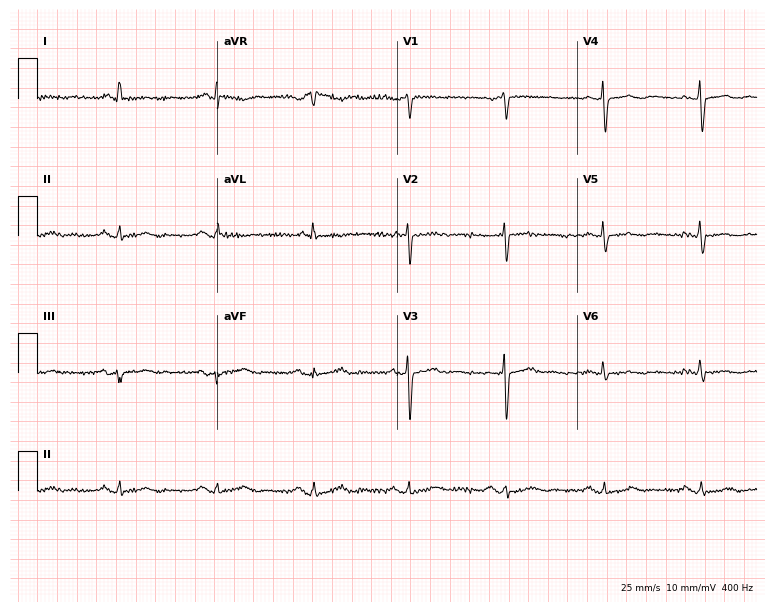
Standard 12-lead ECG recorded from a 63-year-old woman (7.3-second recording at 400 Hz). None of these six findings is recorded: first-degree AV block, right bundle branch block, left bundle branch block, sinus bradycardia, atrial fibrillation, sinus tachycardia.